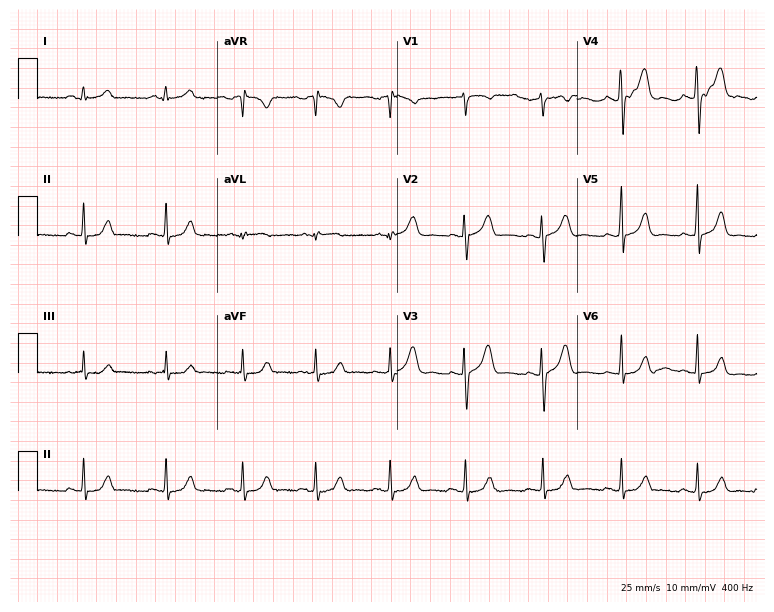
ECG — a female patient, 21 years old. Screened for six findings — first-degree AV block, right bundle branch block, left bundle branch block, sinus bradycardia, atrial fibrillation, sinus tachycardia — none is recorded. Other findings, if any, are not listed.